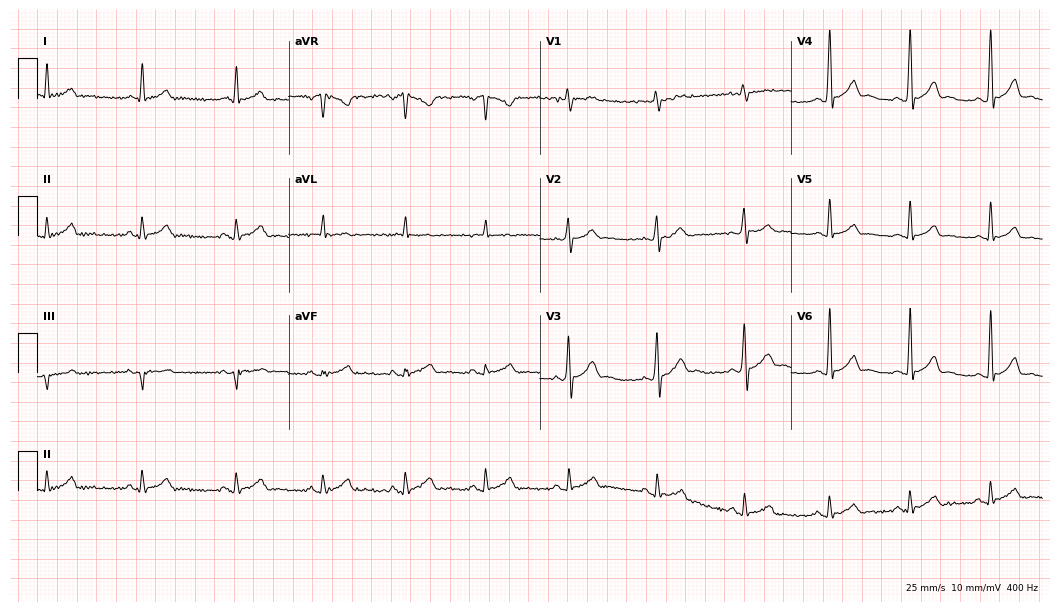
ECG (10.2-second recording at 400 Hz) — a 29-year-old man. Labelled as a normal ECG.